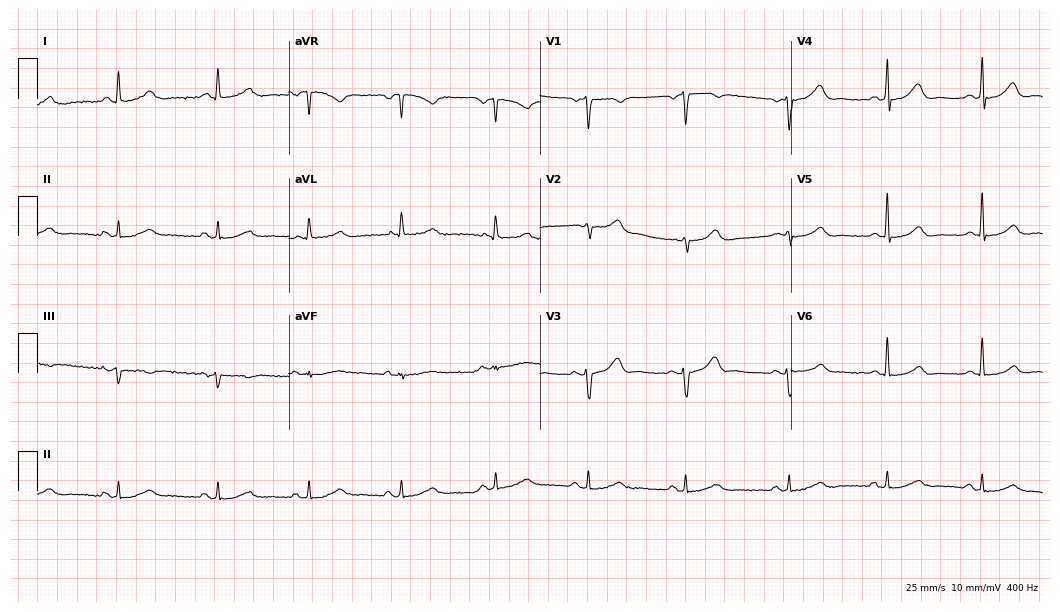
12-lead ECG (10.2-second recording at 400 Hz) from a 69-year-old female patient. Labelled as a normal ECG.